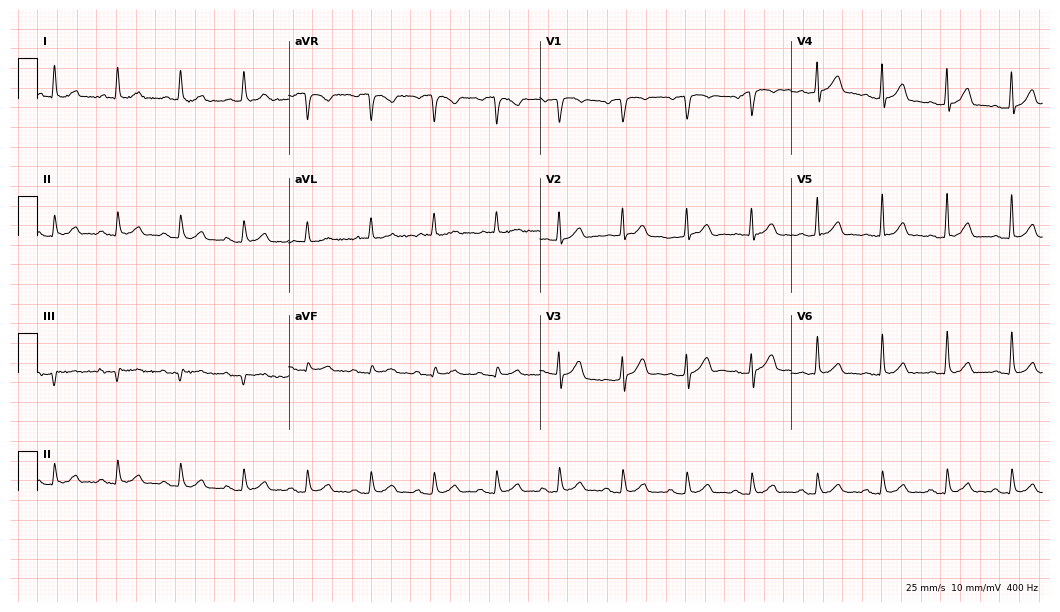
12-lead ECG from a man, 76 years old. Labelled as a normal ECG.